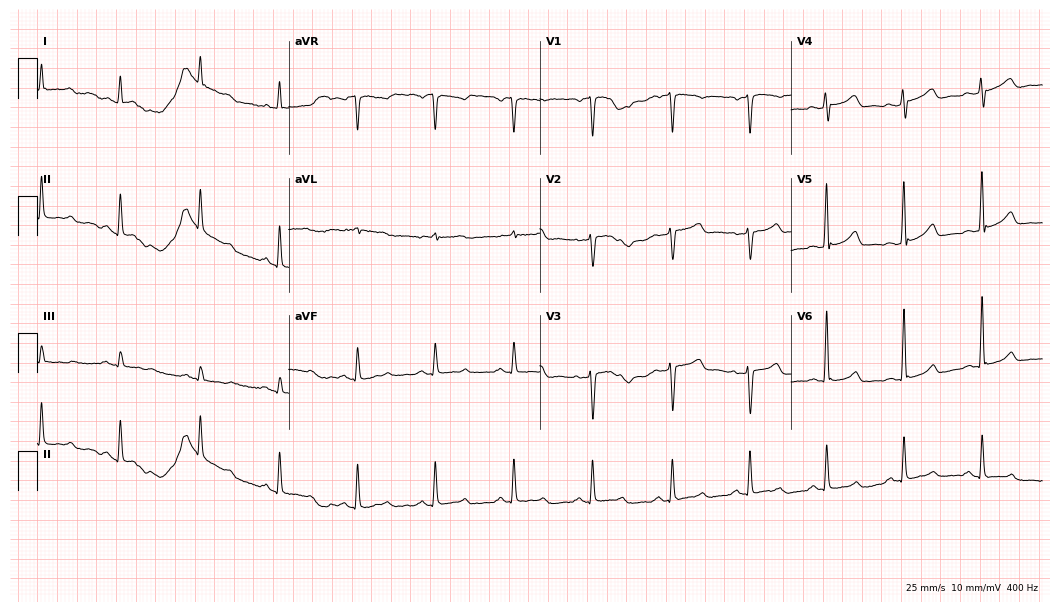
ECG (10.2-second recording at 400 Hz) — a 49-year-old female patient. Screened for six findings — first-degree AV block, right bundle branch block (RBBB), left bundle branch block (LBBB), sinus bradycardia, atrial fibrillation (AF), sinus tachycardia — none is recorded. Findings outside these six are not listed.